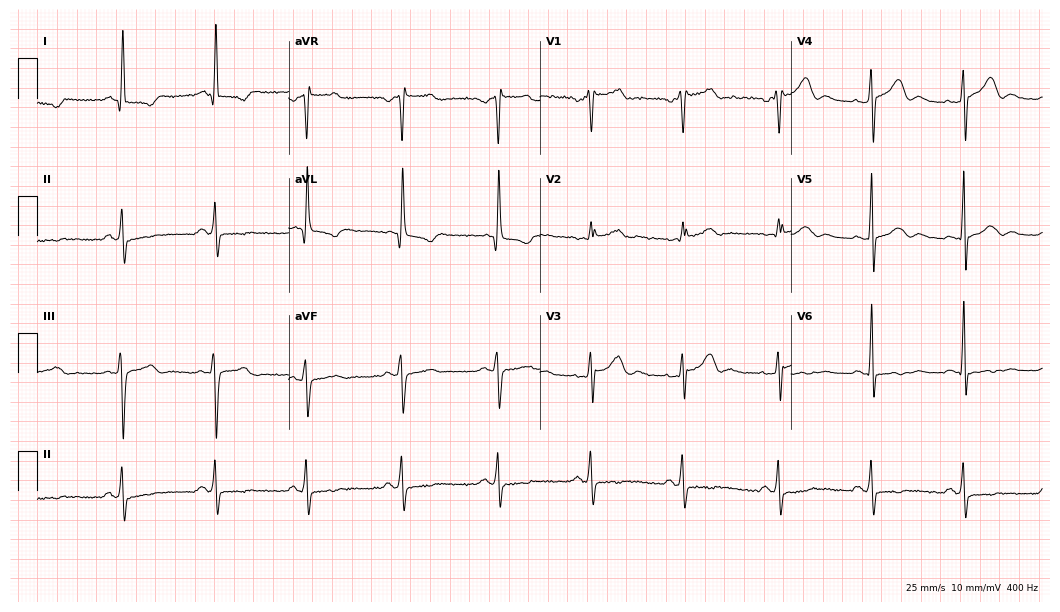
12-lead ECG from a female, 47 years old (10.2-second recording at 400 Hz). Recorded interpretation: within normal limits.